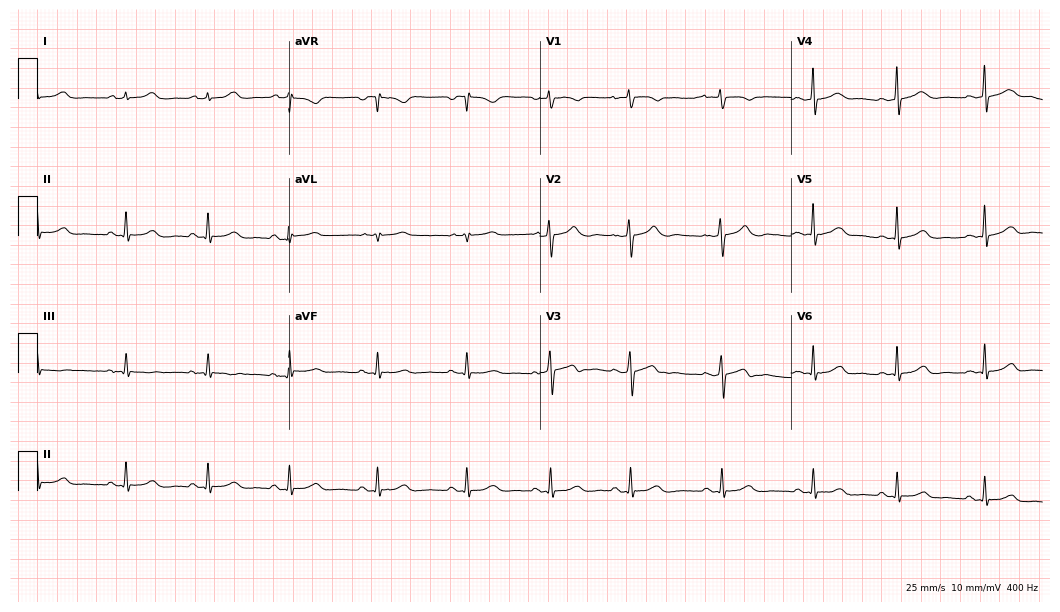
Electrocardiogram, a 24-year-old female patient. Overall reading on record: normal ECG.